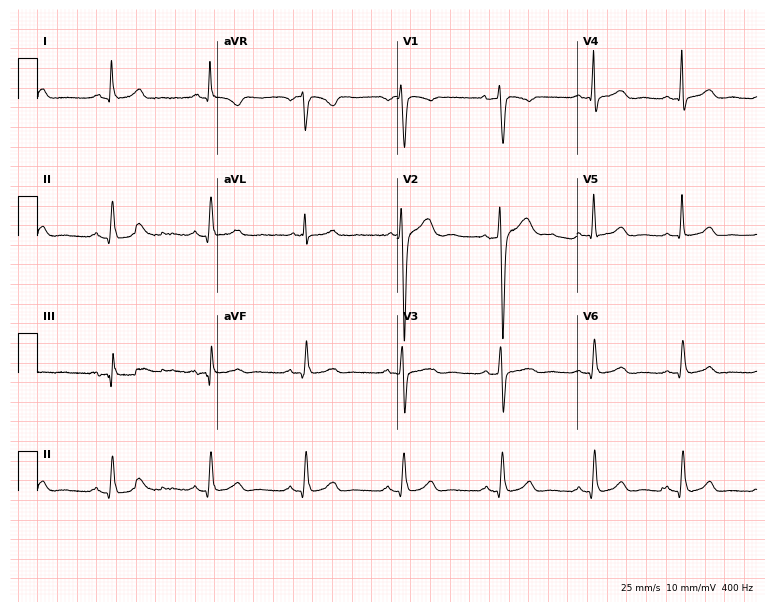
Standard 12-lead ECG recorded from a male patient, 41 years old. Read as a normal ECG.